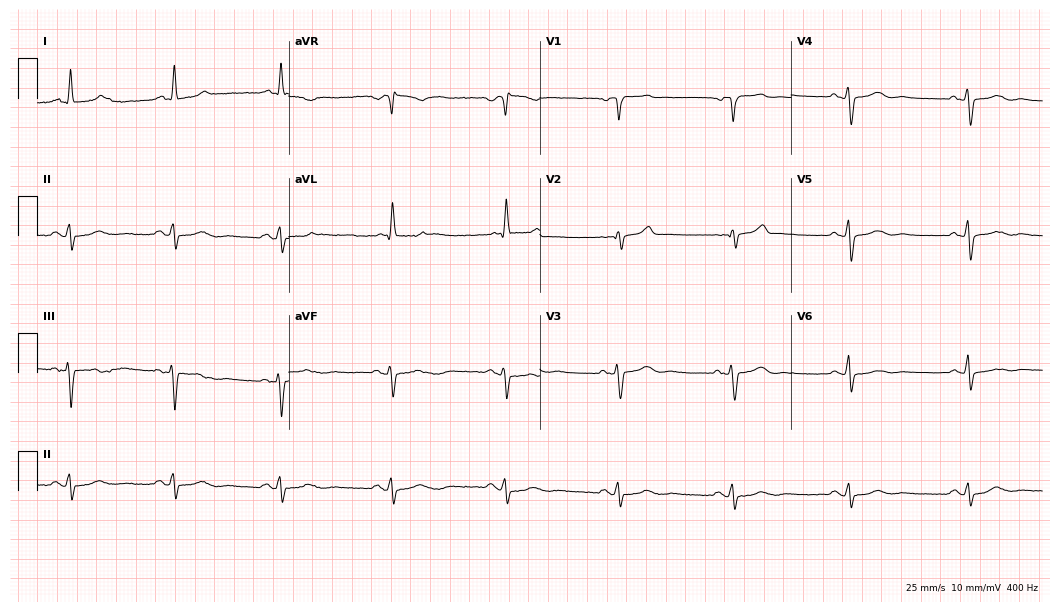
ECG (10.2-second recording at 400 Hz) — a 78-year-old male. Screened for six findings — first-degree AV block, right bundle branch block, left bundle branch block, sinus bradycardia, atrial fibrillation, sinus tachycardia — none is recorded. Other findings, if any, are not listed.